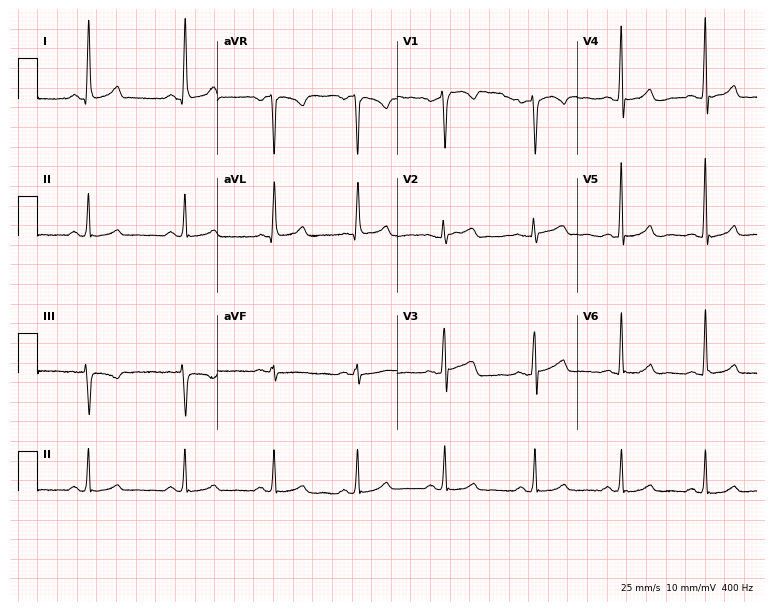
Standard 12-lead ECG recorded from a female, 39 years old (7.3-second recording at 400 Hz). Read as a normal ECG.